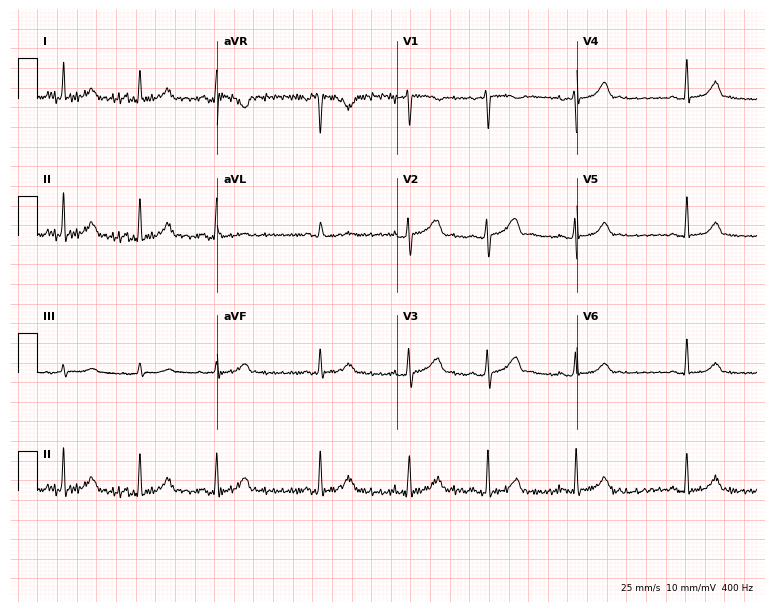
Resting 12-lead electrocardiogram (7.3-second recording at 400 Hz). Patient: a 21-year-old female. None of these six findings is recorded: first-degree AV block, right bundle branch block, left bundle branch block, sinus bradycardia, atrial fibrillation, sinus tachycardia. Other findings, if any, are not listed.